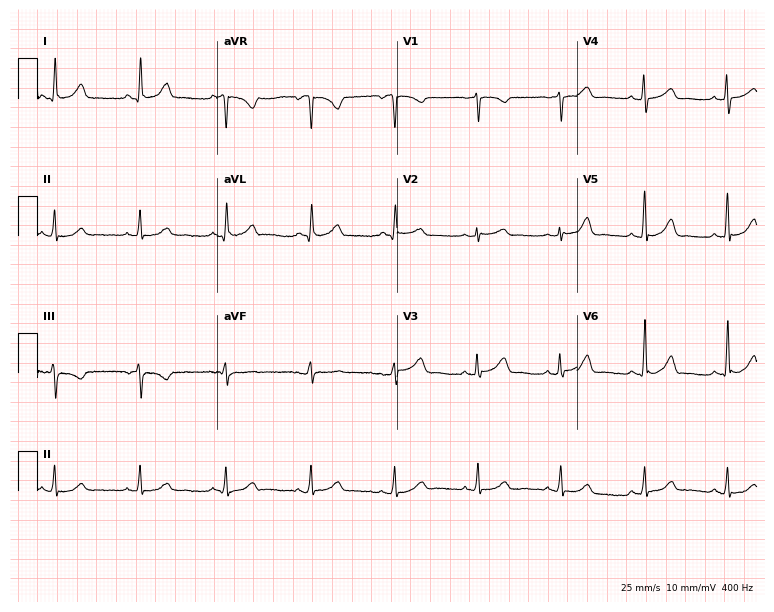
12-lead ECG from a woman, 49 years old. No first-degree AV block, right bundle branch block, left bundle branch block, sinus bradycardia, atrial fibrillation or sinus tachycardia recorded for this tracing. Only these six findings were labelled.